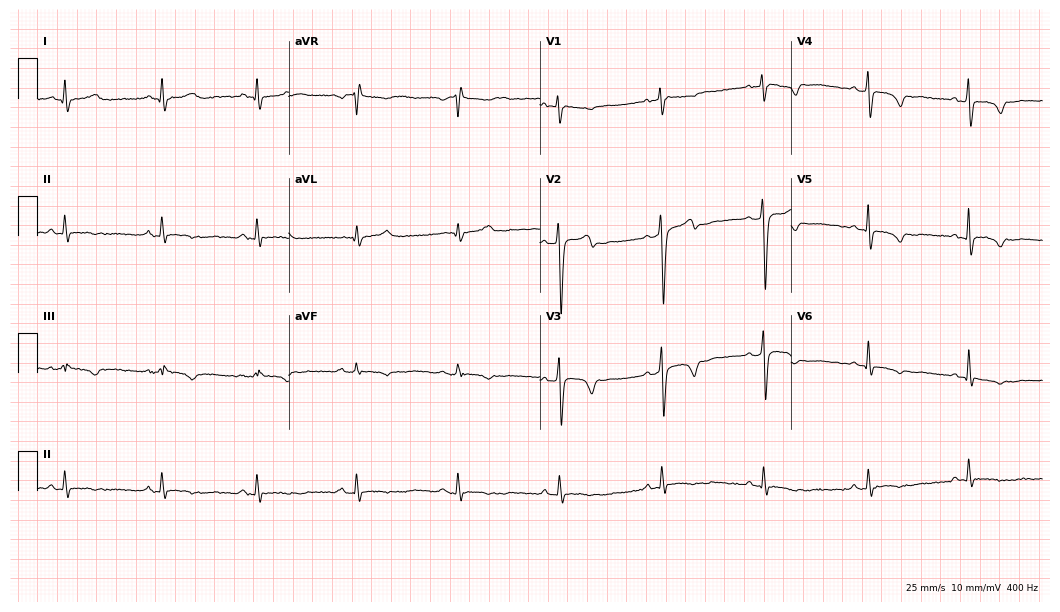
12-lead ECG from a 33-year-old man. Screened for six findings — first-degree AV block, right bundle branch block, left bundle branch block, sinus bradycardia, atrial fibrillation, sinus tachycardia — none is recorded. Other findings, if any, are not listed.